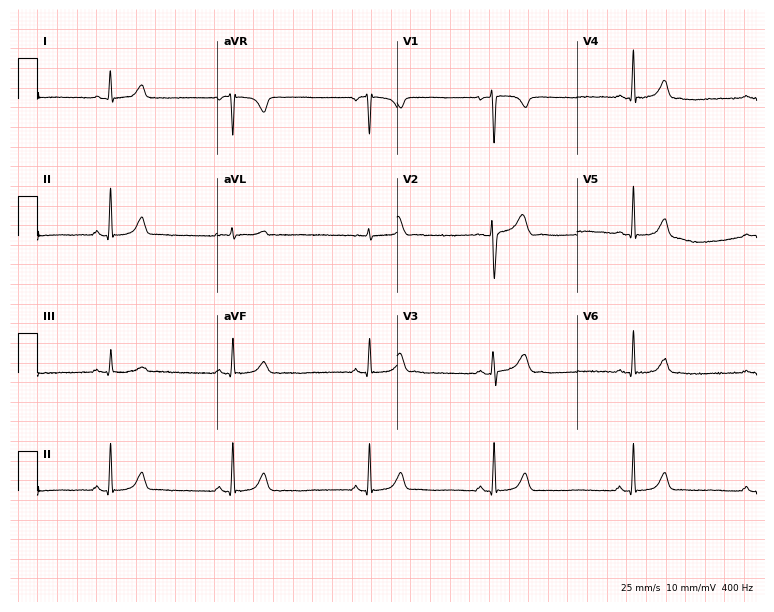
Resting 12-lead electrocardiogram. Patient: a 30-year-old female. None of these six findings is recorded: first-degree AV block, right bundle branch block, left bundle branch block, sinus bradycardia, atrial fibrillation, sinus tachycardia.